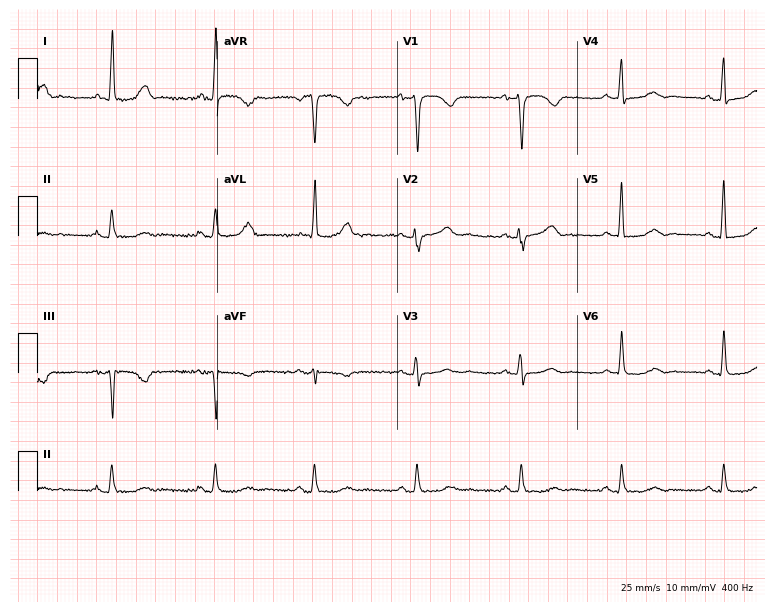
Electrocardiogram (7.3-second recording at 400 Hz), a 62-year-old female patient. Of the six screened findings (first-degree AV block, right bundle branch block, left bundle branch block, sinus bradycardia, atrial fibrillation, sinus tachycardia), none is recorded. Other findings, if any, are not listed.